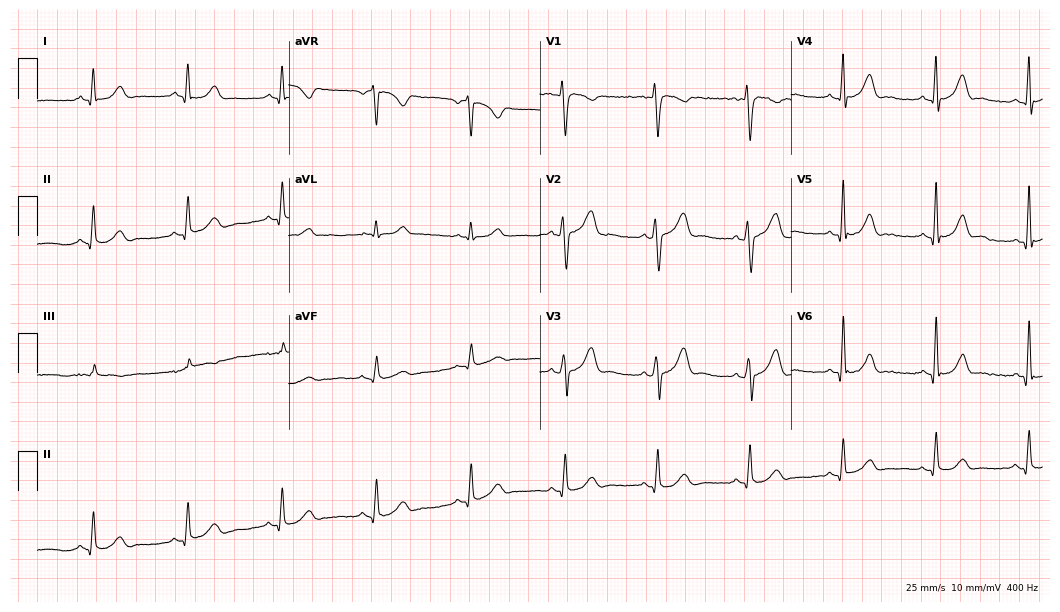
12-lead ECG from a male patient, 38 years old. Recorded interpretation: within normal limits.